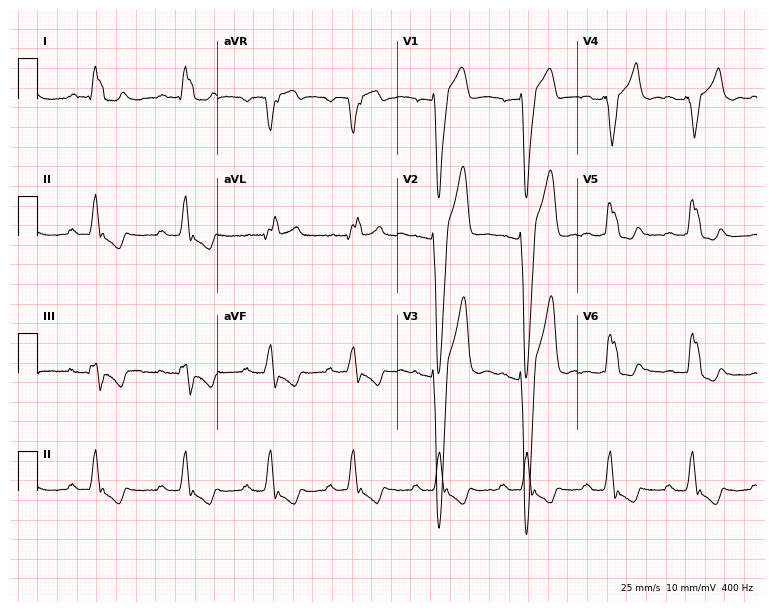
Resting 12-lead electrocardiogram (7.3-second recording at 400 Hz). Patient: a 43-year-old male. The tracing shows first-degree AV block, left bundle branch block.